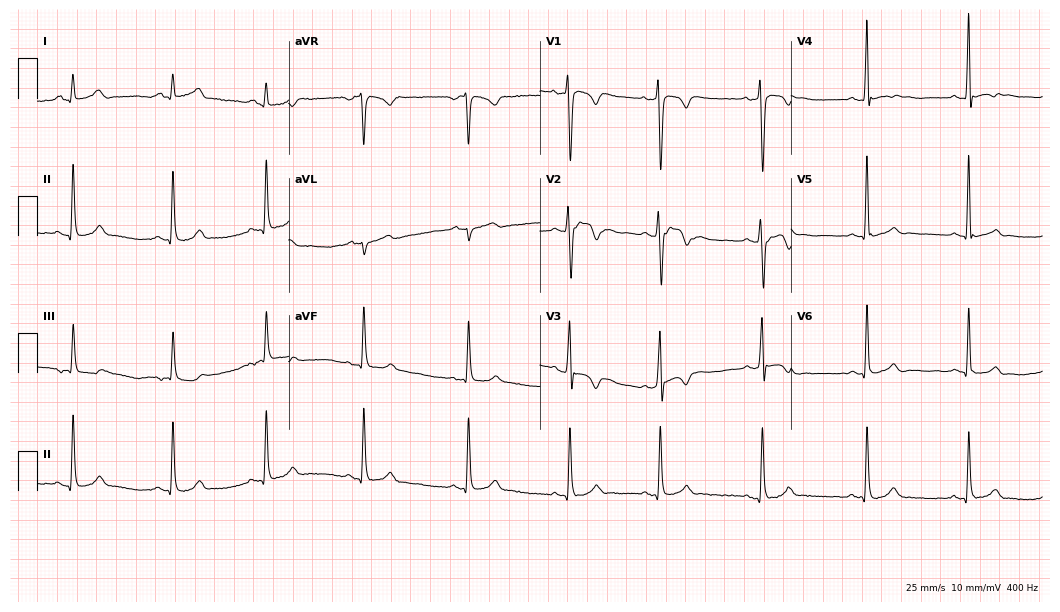
12-lead ECG from a man, 19 years old. Recorded interpretation: within normal limits.